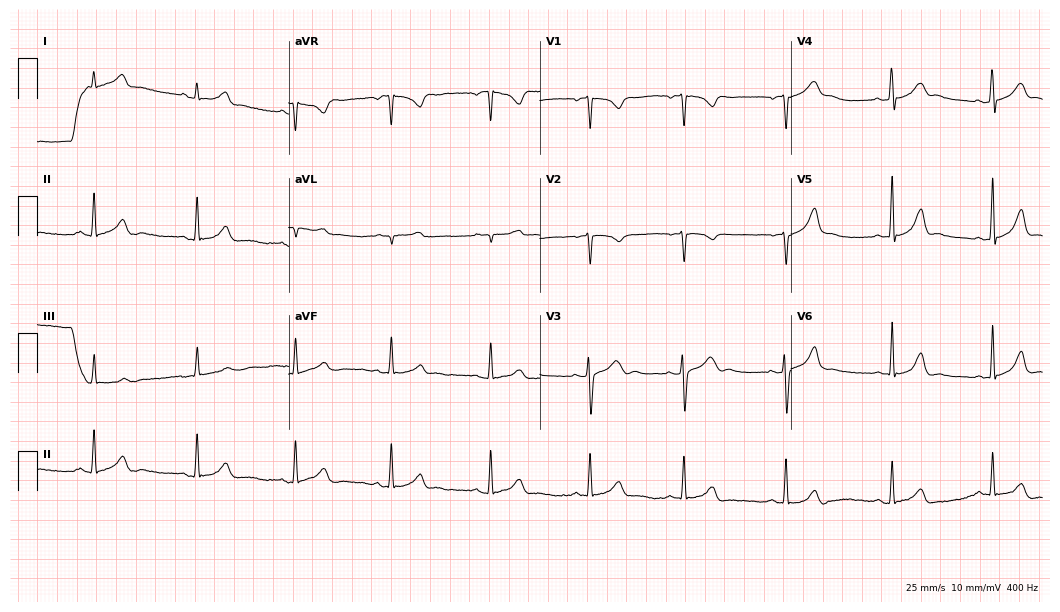
Electrocardiogram, a 17-year-old woman. Overall reading on record: normal ECG.